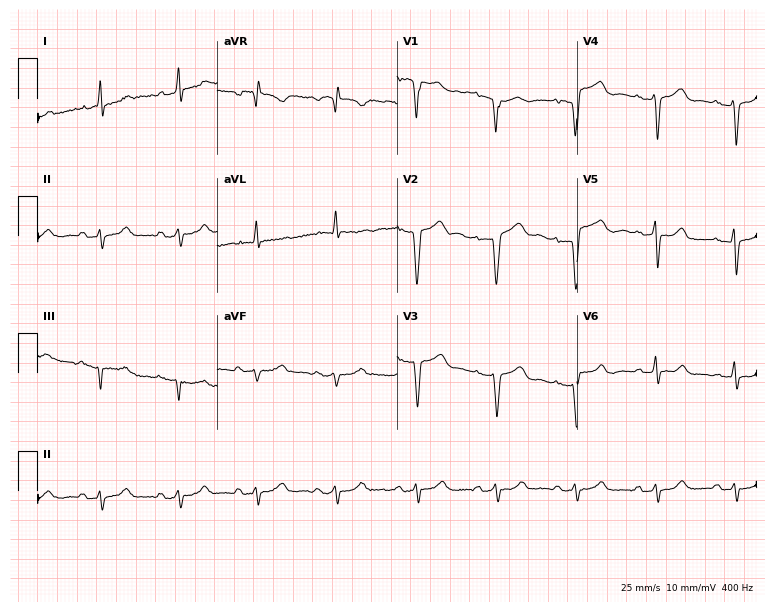
Standard 12-lead ECG recorded from a female patient, 66 years old. None of these six findings is recorded: first-degree AV block, right bundle branch block, left bundle branch block, sinus bradycardia, atrial fibrillation, sinus tachycardia.